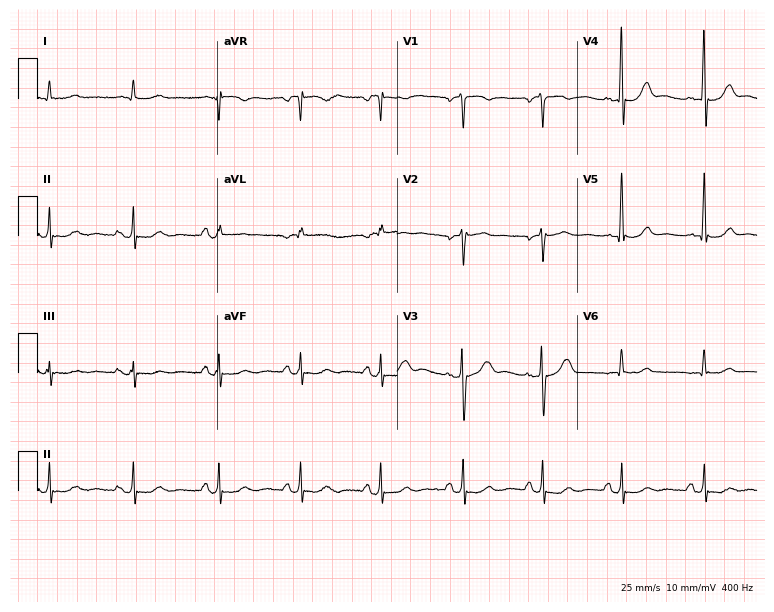
12-lead ECG from a male patient, 82 years old (7.3-second recording at 400 Hz). No first-degree AV block, right bundle branch block (RBBB), left bundle branch block (LBBB), sinus bradycardia, atrial fibrillation (AF) or sinus tachycardia recorded for this tracing. Other findings, if any, are not listed.